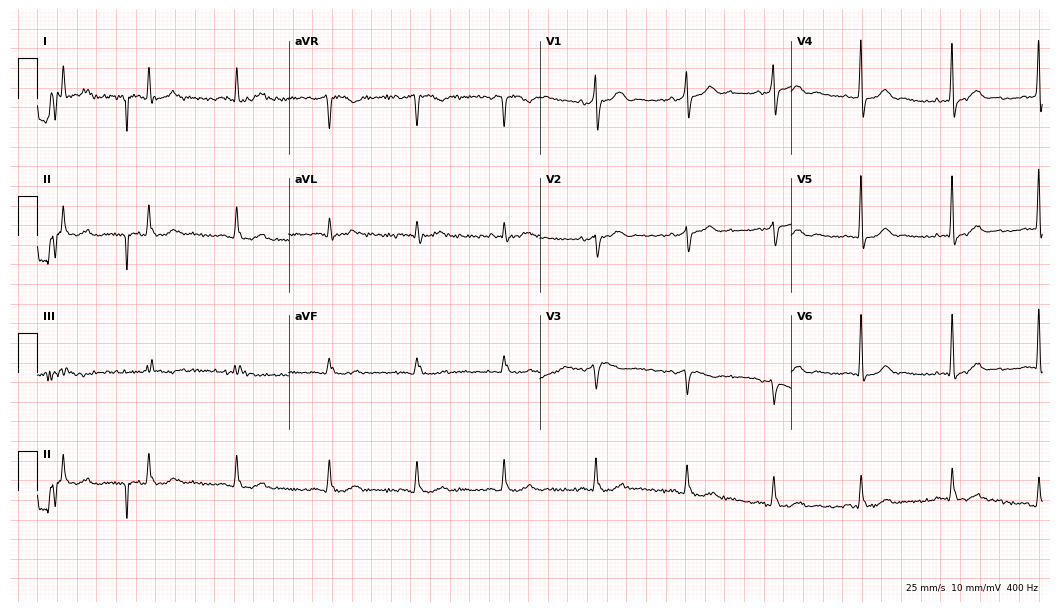
12-lead ECG (10.2-second recording at 400 Hz) from a man, 28 years old. Screened for six findings — first-degree AV block, right bundle branch block, left bundle branch block, sinus bradycardia, atrial fibrillation, sinus tachycardia — none is recorded. Findings outside these six are not listed.